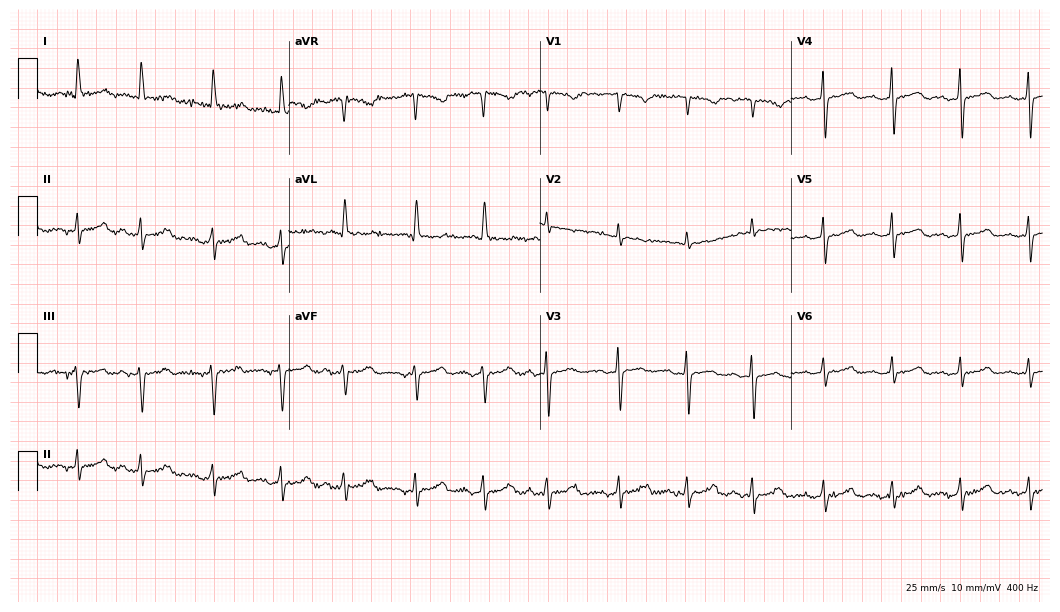
Electrocardiogram (10.2-second recording at 400 Hz), a 71-year-old female. Overall reading on record: normal ECG.